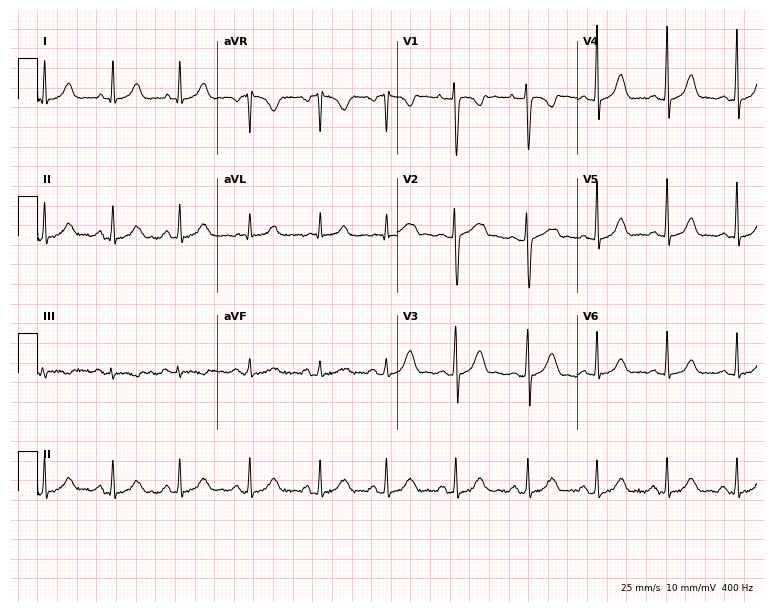
Electrocardiogram (7.3-second recording at 400 Hz), a female patient, 27 years old. Overall reading on record: normal ECG.